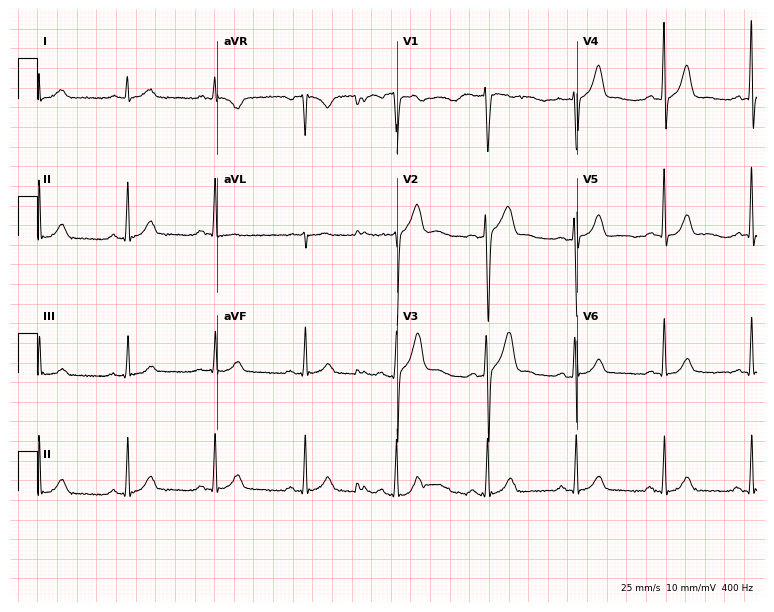
Resting 12-lead electrocardiogram (7.3-second recording at 400 Hz). Patient: a male, 39 years old. Read as a normal ECG.